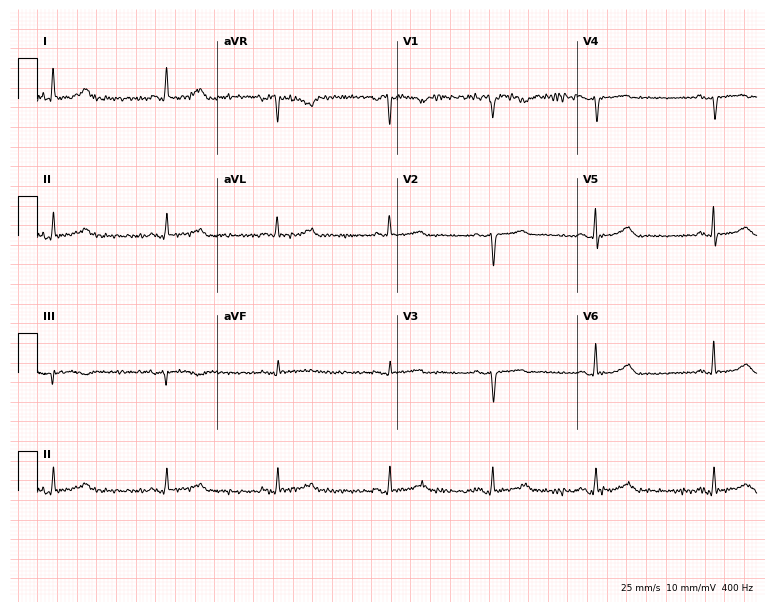
12-lead ECG from a 72-year-old woman. Labelled as a normal ECG.